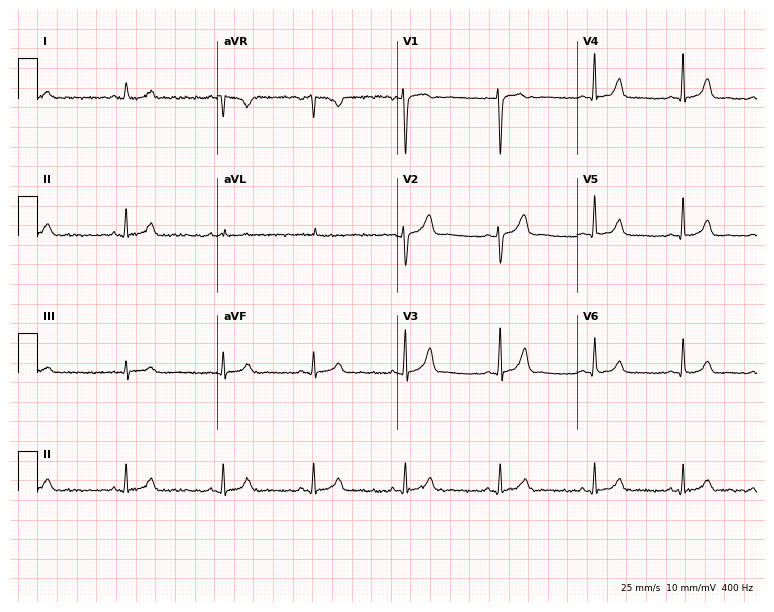
Electrocardiogram, a 43-year-old female patient. Overall reading on record: normal ECG.